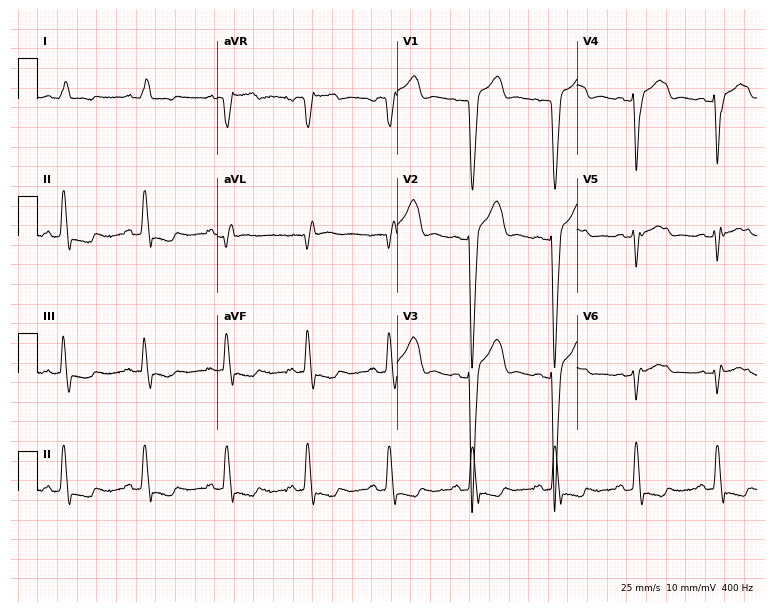
Electrocardiogram (7.3-second recording at 400 Hz), a 75-year-old man. Interpretation includes left bundle branch block (LBBB).